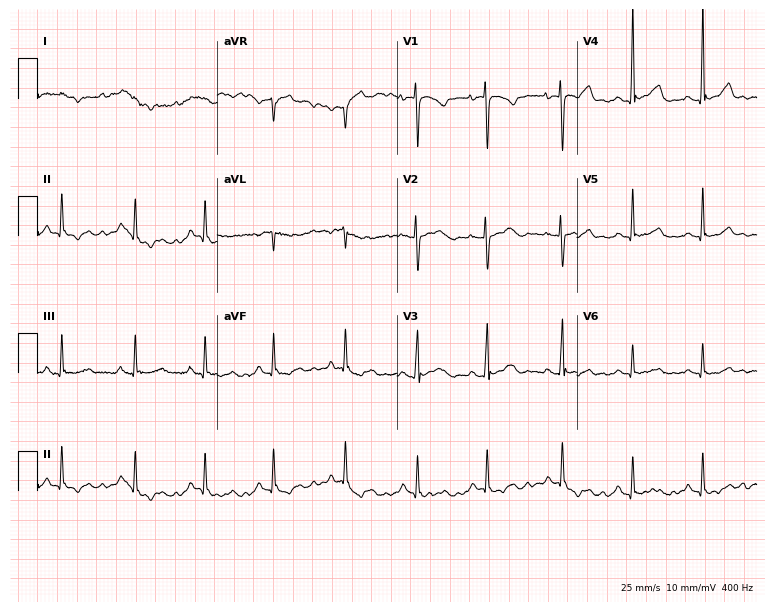
12-lead ECG from a 43-year-old woman (7.3-second recording at 400 Hz). No first-degree AV block, right bundle branch block, left bundle branch block, sinus bradycardia, atrial fibrillation or sinus tachycardia recorded for this tracing.